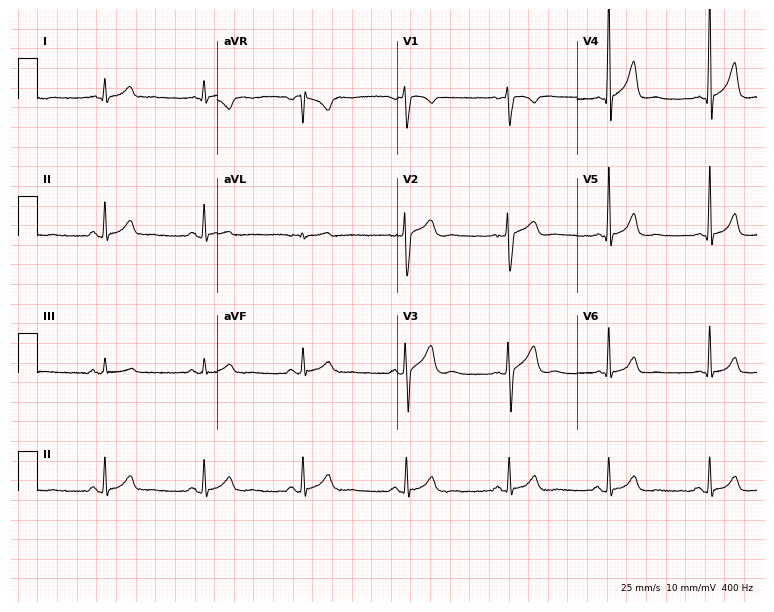
Standard 12-lead ECG recorded from a man, 47 years old. None of these six findings is recorded: first-degree AV block, right bundle branch block (RBBB), left bundle branch block (LBBB), sinus bradycardia, atrial fibrillation (AF), sinus tachycardia. Only these six findings were labelled.